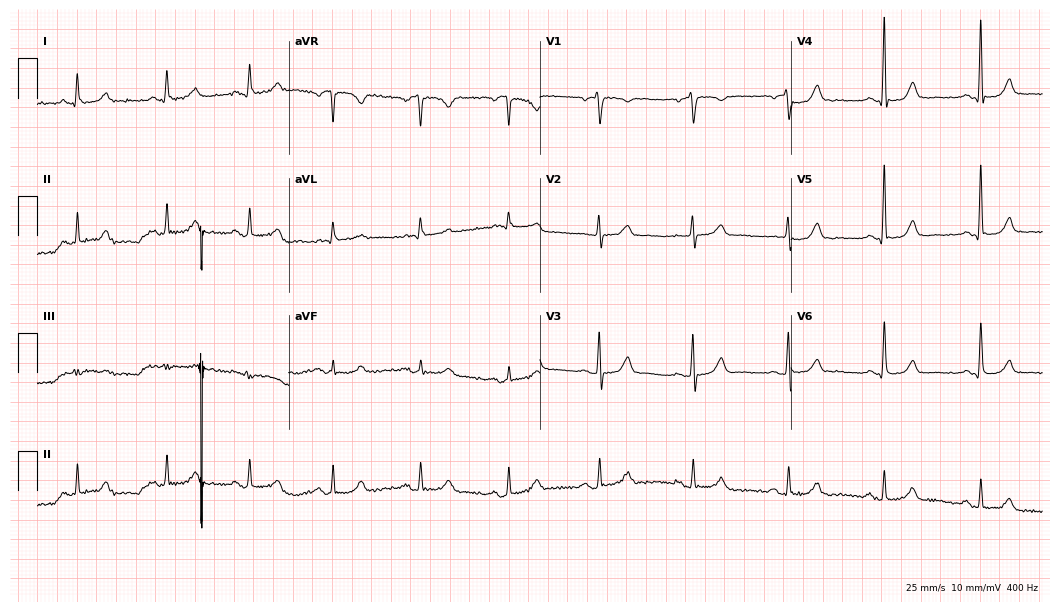
Electrocardiogram (10.2-second recording at 400 Hz), a 53-year-old woman. Overall reading on record: normal ECG.